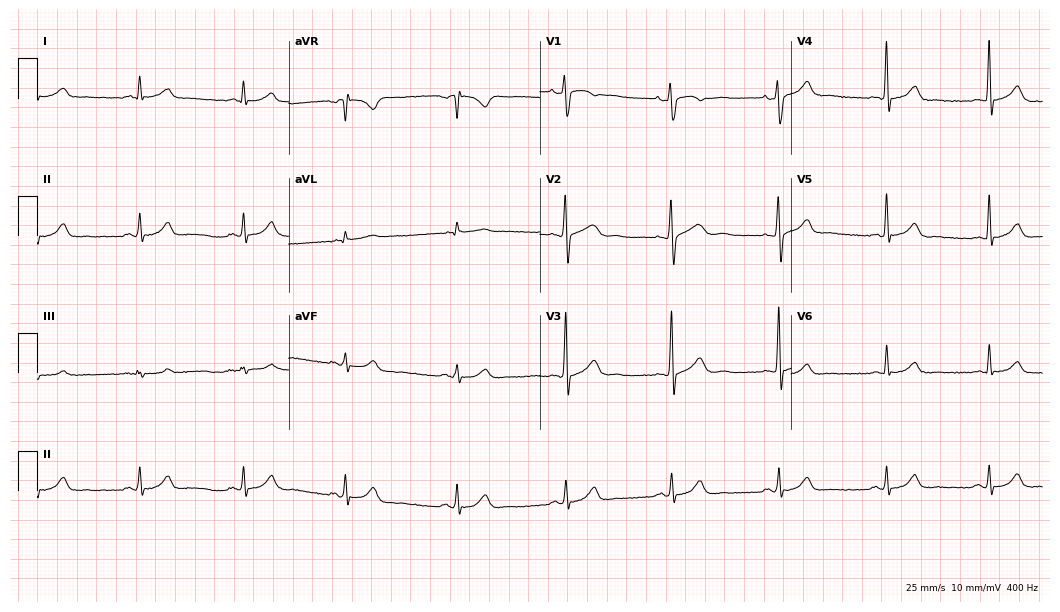
12-lead ECG (10.2-second recording at 400 Hz) from a man, 54 years old. Screened for six findings — first-degree AV block, right bundle branch block, left bundle branch block, sinus bradycardia, atrial fibrillation, sinus tachycardia — none is recorded.